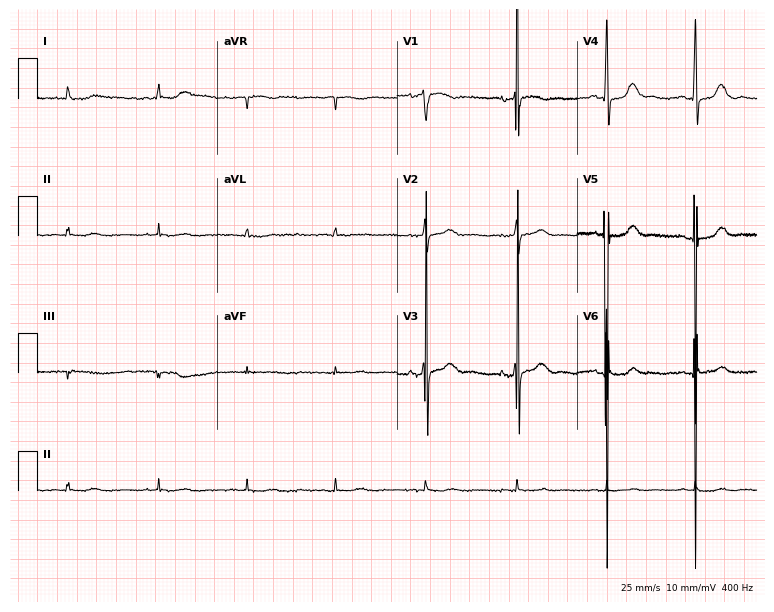
Resting 12-lead electrocardiogram (7.3-second recording at 400 Hz). Patient: an 80-year-old woman. Read as a normal ECG.